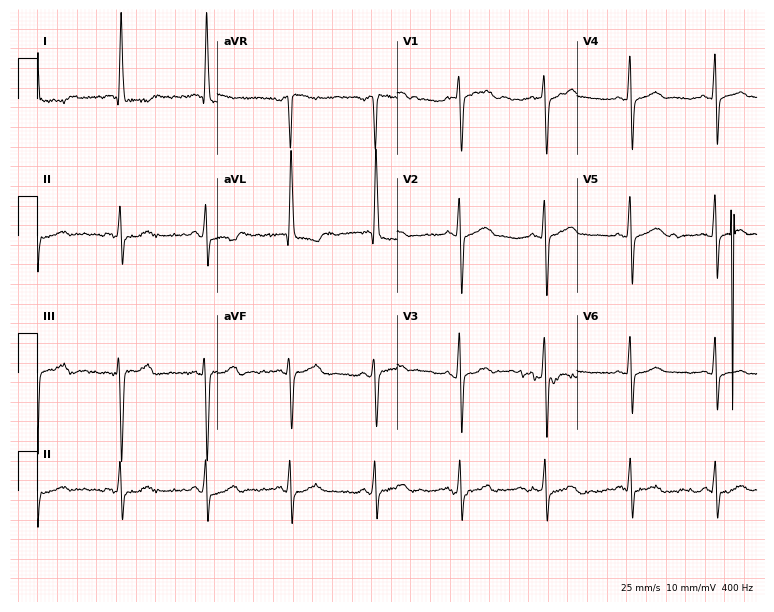
ECG (7.3-second recording at 400 Hz) — an 81-year-old female patient. Screened for six findings — first-degree AV block, right bundle branch block (RBBB), left bundle branch block (LBBB), sinus bradycardia, atrial fibrillation (AF), sinus tachycardia — none is recorded.